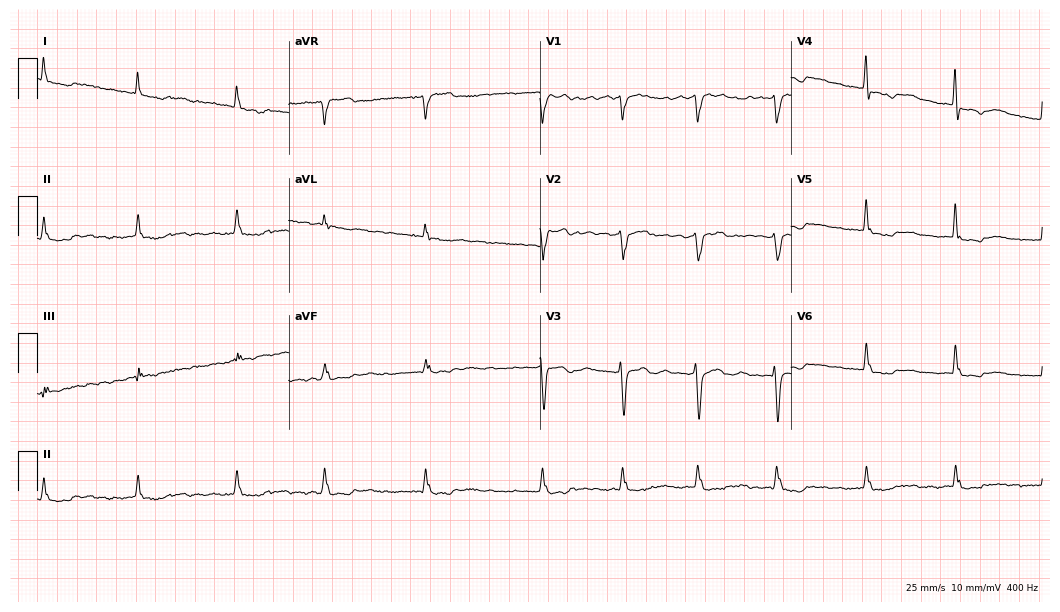
Resting 12-lead electrocardiogram (10.2-second recording at 400 Hz). Patient: a 75-year-old female. The tracing shows atrial fibrillation (AF).